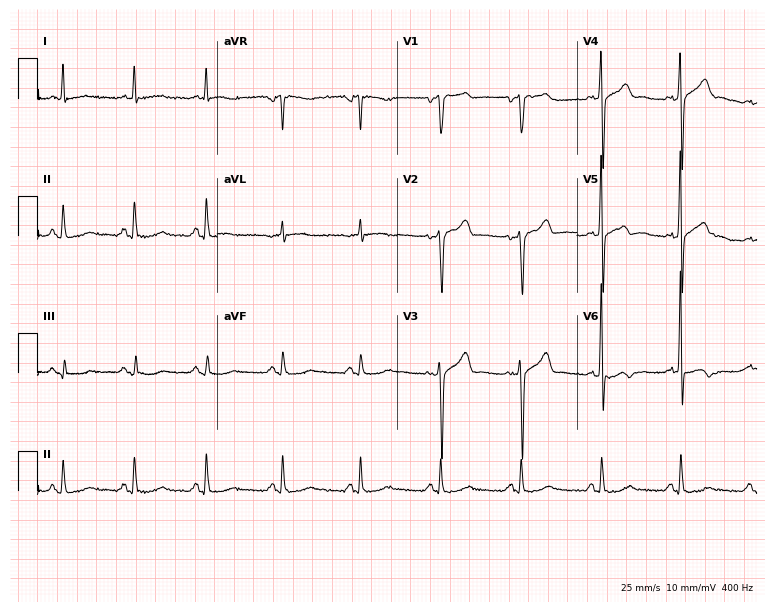
ECG — a 71-year-old man. Screened for six findings — first-degree AV block, right bundle branch block, left bundle branch block, sinus bradycardia, atrial fibrillation, sinus tachycardia — none is recorded.